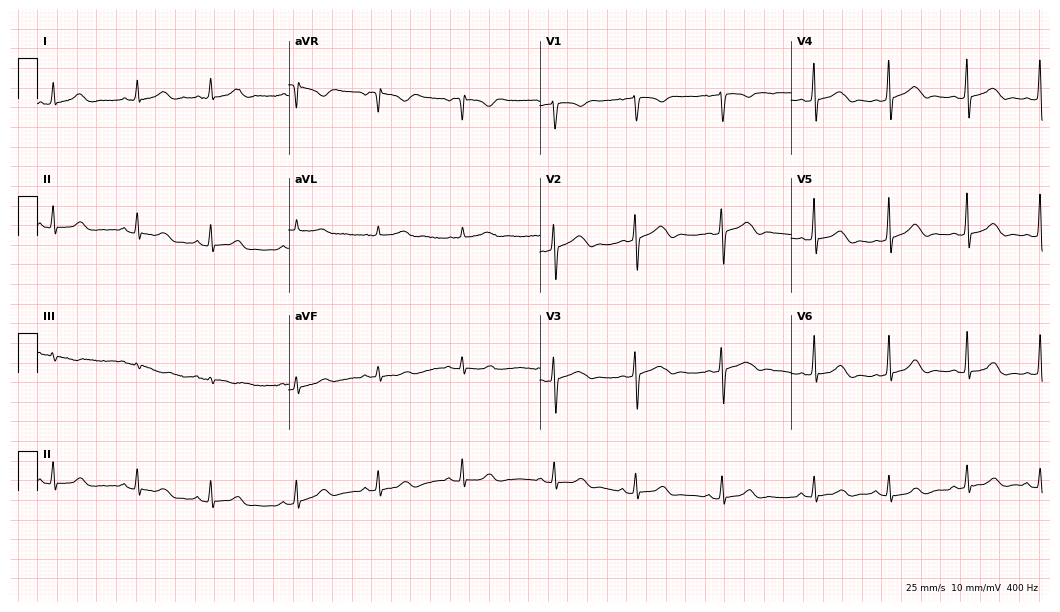
Electrocardiogram, a woman, 23 years old. Overall reading on record: normal ECG.